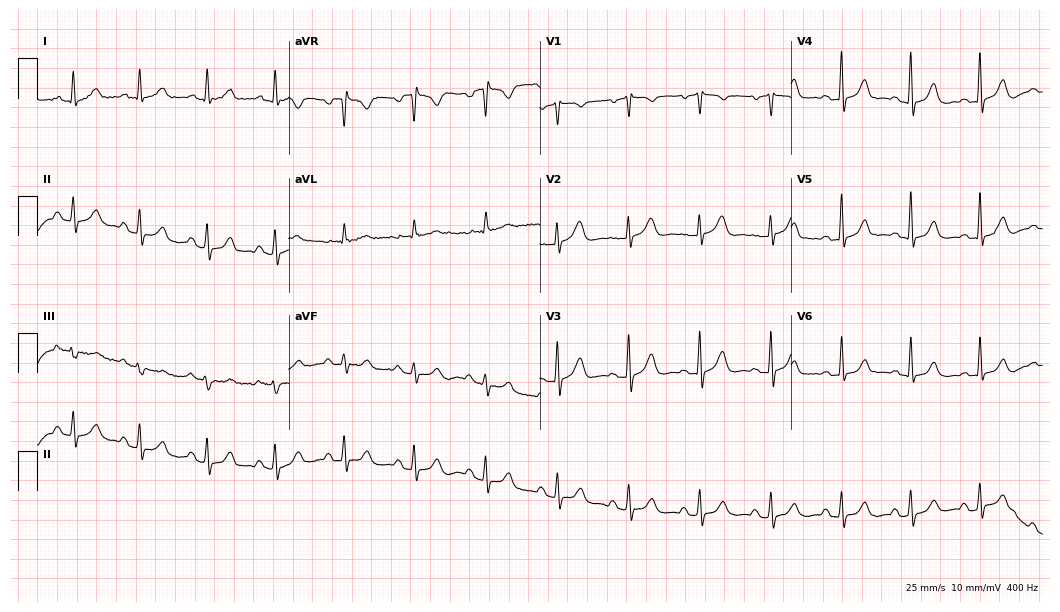
12-lead ECG from a 65-year-old woman (10.2-second recording at 400 Hz). Recorded interpretation: within normal limits.